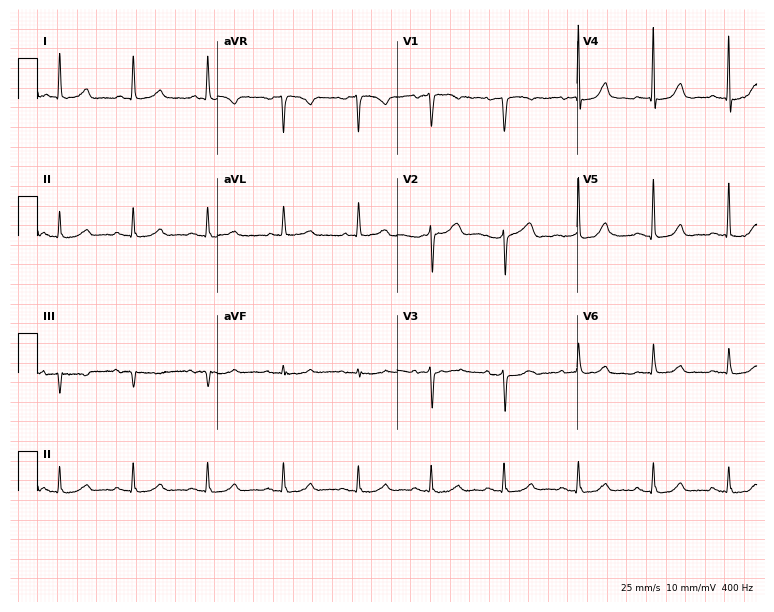
Electrocardiogram (7.3-second recording at 400 Hz), an 85-year-old female patient. Overall reading on record: normal ECG.